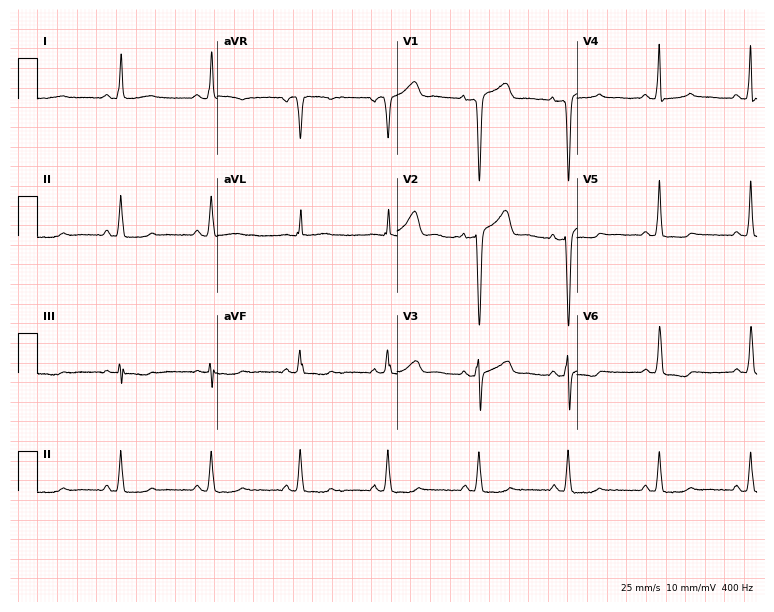
12-lead ECG from a female patient, 56 years old. No first-degree AV block, right bundle branch block, left bundle branch block, sinus bradycardia, atrial fibrillation or sinus tachycardia recorded for this tracing. Other findings, if any, are not listed.